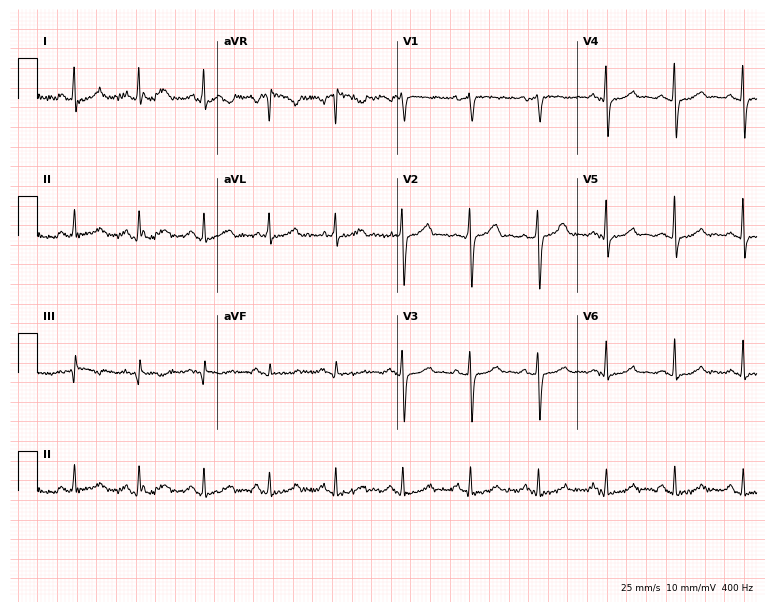
Resting 12-lead electrocardiogram (7.3-second recording at 400 Hz). Patient: a woman, 52 years old. Read as a normal ECG.